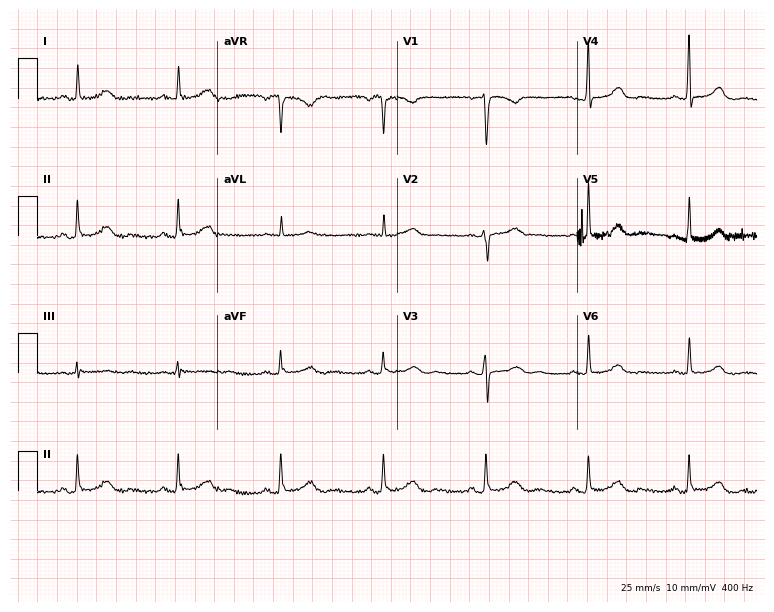
ECG — a female patient, 51 years old. Screened for six findings — first-degree AV block, right bundle branch block, left bundle branch block, sinus bradycardia, atrial fibrillation, sinus tachycardia — none is recorded. Only these six findings were labelled.